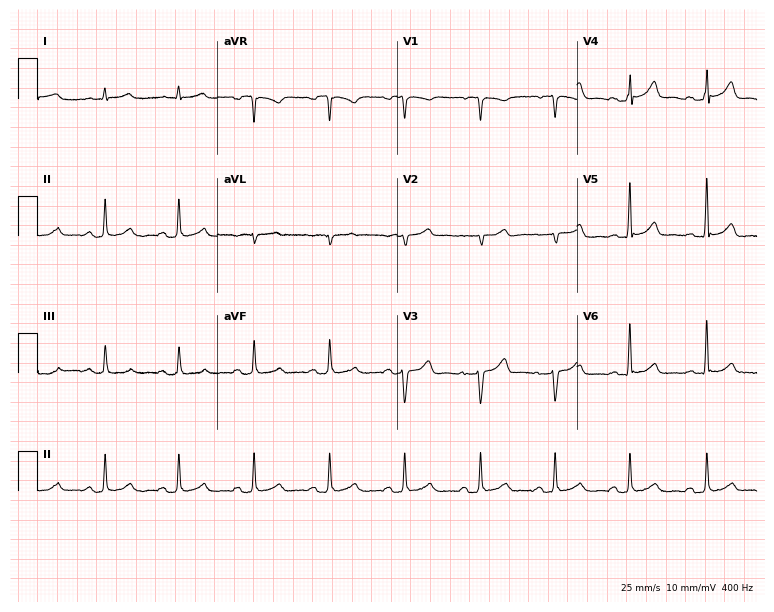
Resting 12-lead electrocardiogram. Patient: a male, 59 years old. None of these six findings is recorded: first-degree AV block, right bundle branch block, left bundle branch block, sinus bradycardia, atrial fibrillation, sinus tachycardia. Only these six findings were labelled.